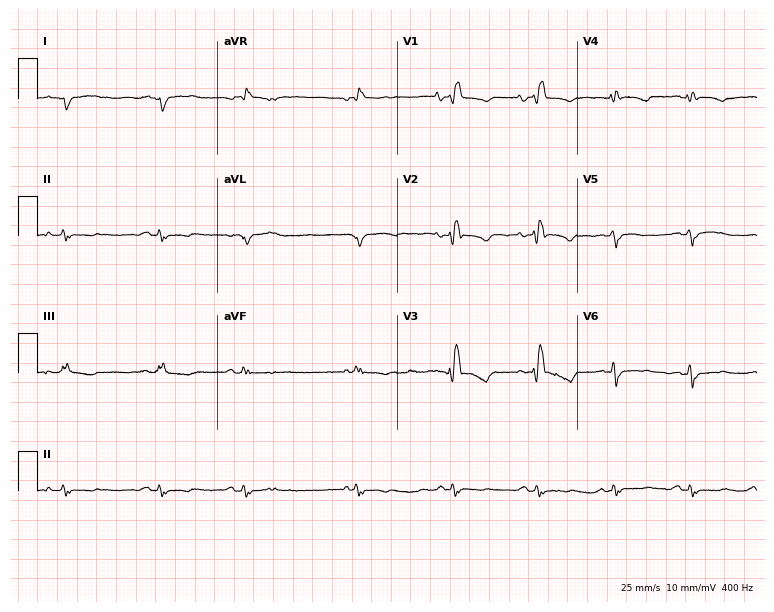
Resting 12-lead electrocardiogram (7.3-second recording at 400 Hz). Patient: a 27-year-old man. The tracing shows right bundle branch block (RBBB).